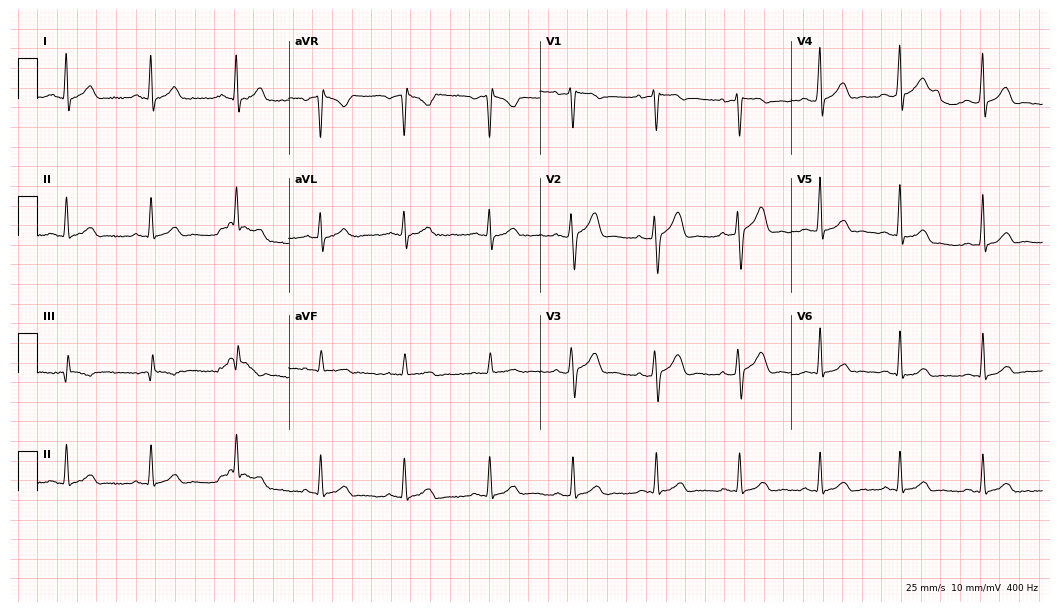
ECG — a male, 32 years old. Labelled as a normal ECG.